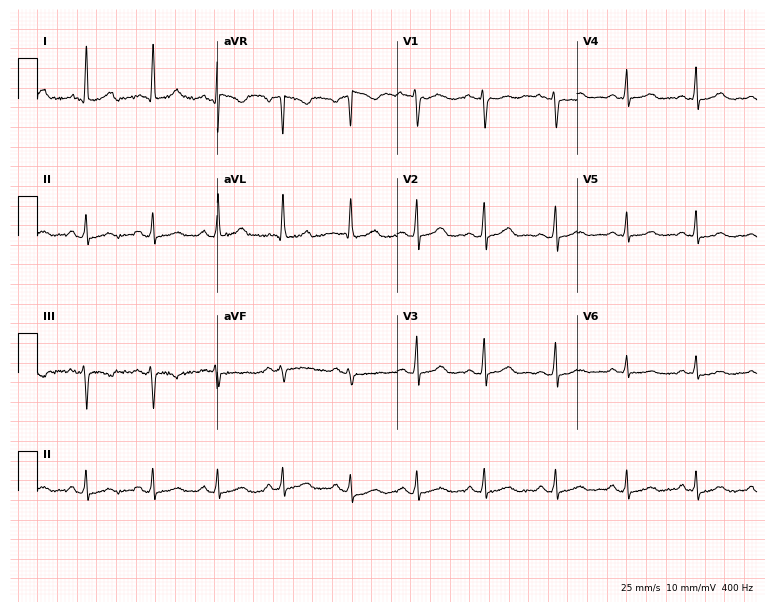
ECG — a 48-year-old female. Labelled as a normal ECG.